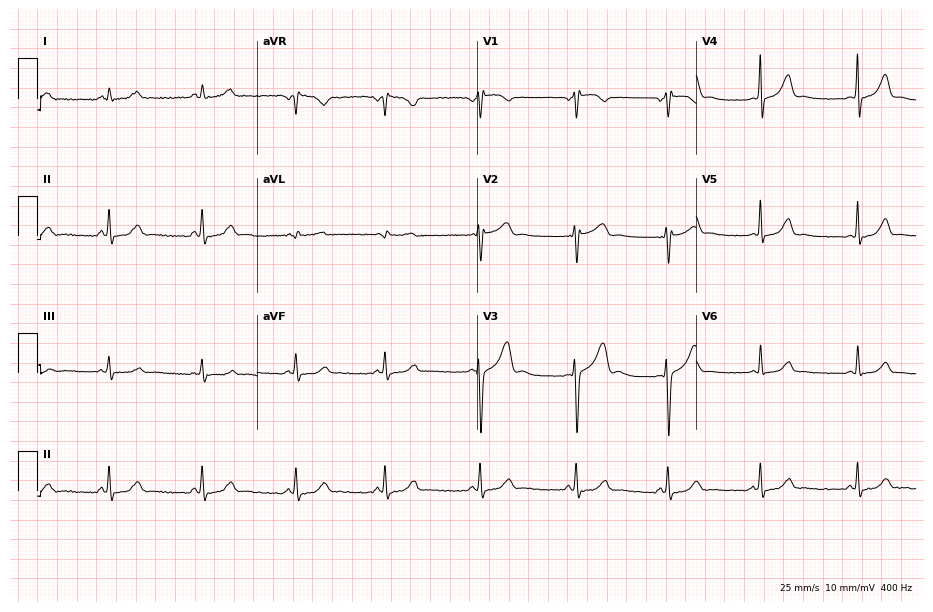
12-lead ECG (9-second recording at 400 Hz) from a 43-year-old female. Screened for six findings — first-degree AV block, right bundle branch block, left bundle branch block, sinus bradycardia, atrial fibrillation, sinus tachycardia — none is recorded.